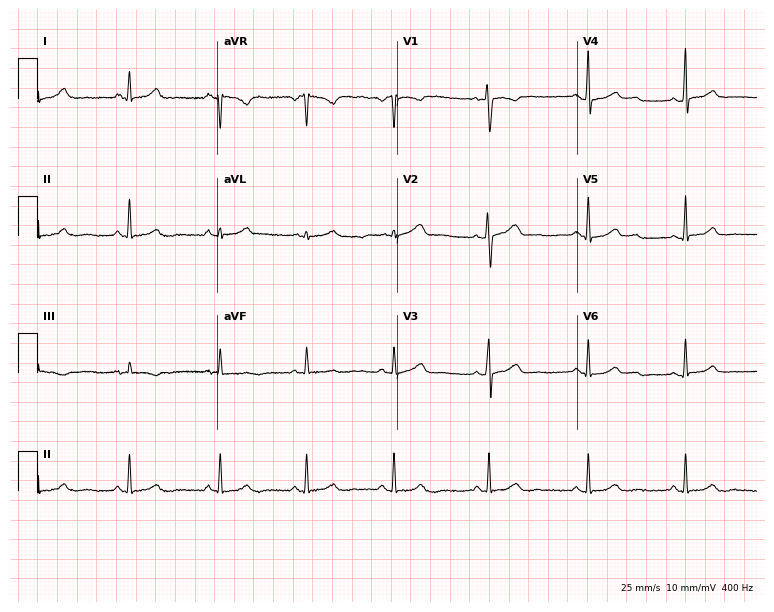
Standard 12-lead ECG recorded from a woman, 50 years old. Read as a normal ECG.